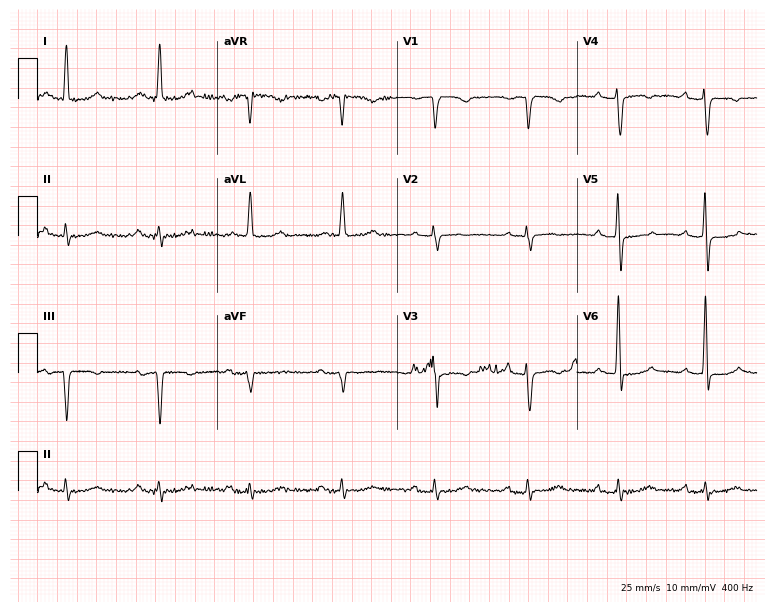
12-lead ECG from a 76-year-old male. Screened for six findings — first-degree AV block, right bundle branch block, left bundle branch block, sinus bradycardia, atrial fibrillation, sinus tachycardia — none is recorded.